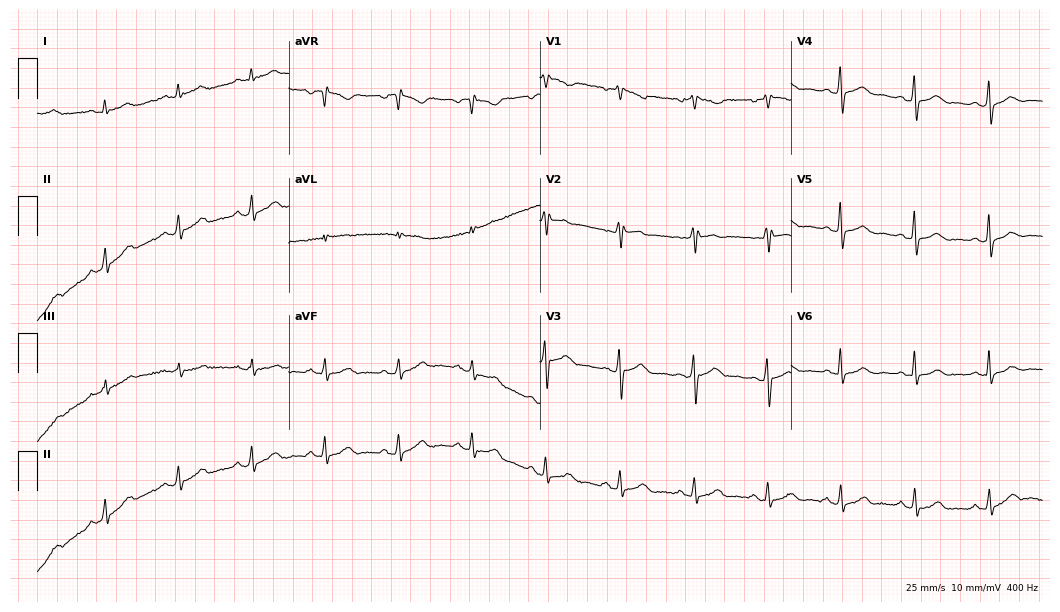
Resting 12-lead electrocardiogram. Patient: a female, 57 years old. None of these six findings is recorded: first-degree AV block, right bundle branch block (RBBB), left bundle branch block (LBBB), sinus bradycardia, atrial fibrillation (AF), sinus tachycardia.